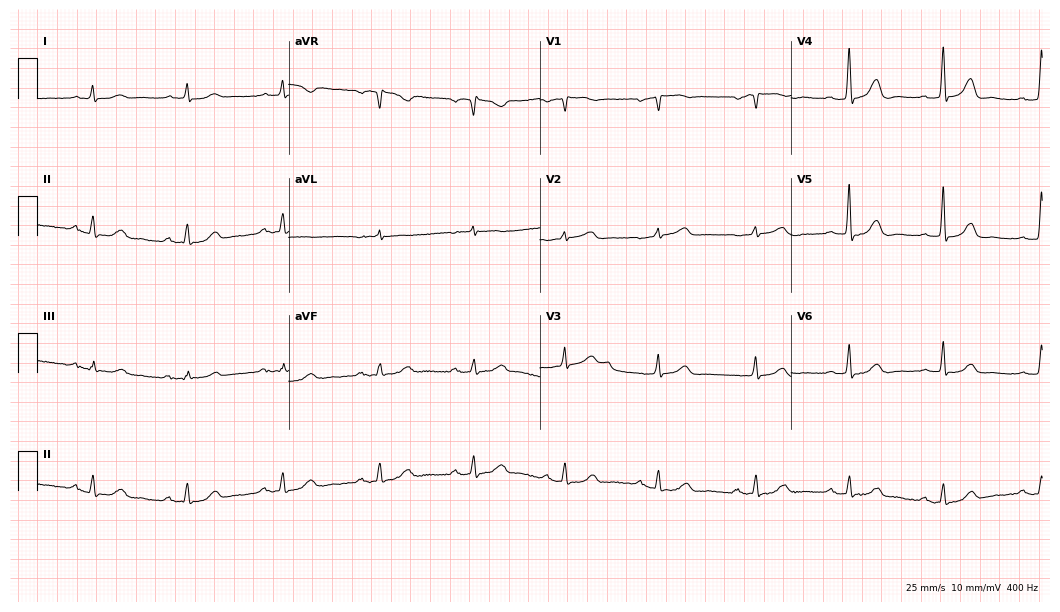
ECG (10.2-second recording at 400 Hz) — an 80-year-old female patient. Screened for six findings — first-degree AV block, right bundle branch block, left bundle branch block, sinus bradycardia, atrial fibrillation, sinus tachycardia — none is recorded. Only these six findings were labelled.